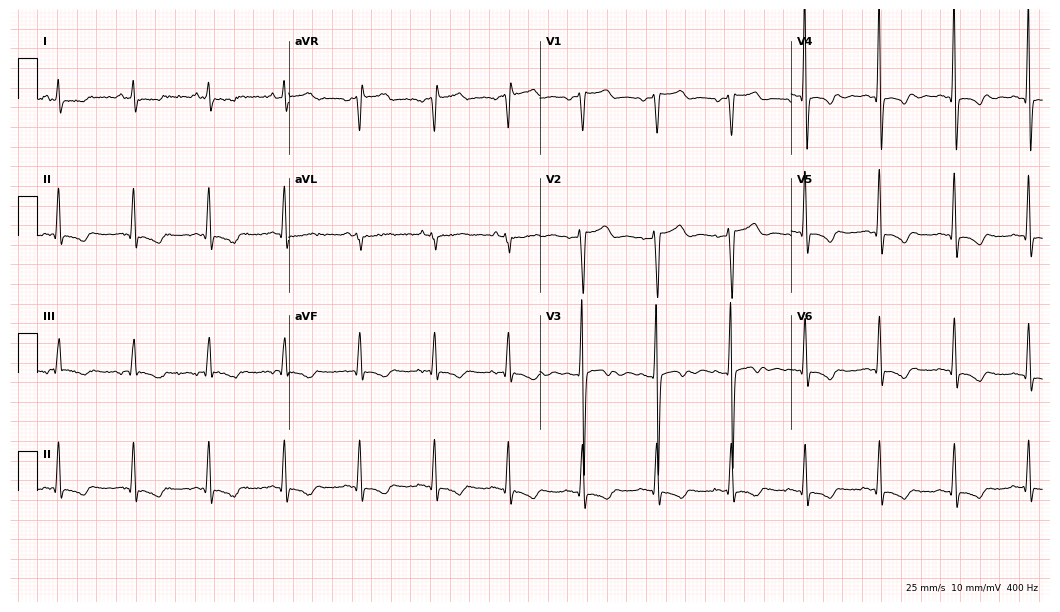
ECG (10.2-second recording at 400 Hz) — a 57-year-old male patient. Screened for six findings — first-degree AV block, right bundle branch block, left bundle branch block, sinus bradycardia, atrial fibrillation, sinus tachycardia — none is recorded. Findings outside these six are not listed.